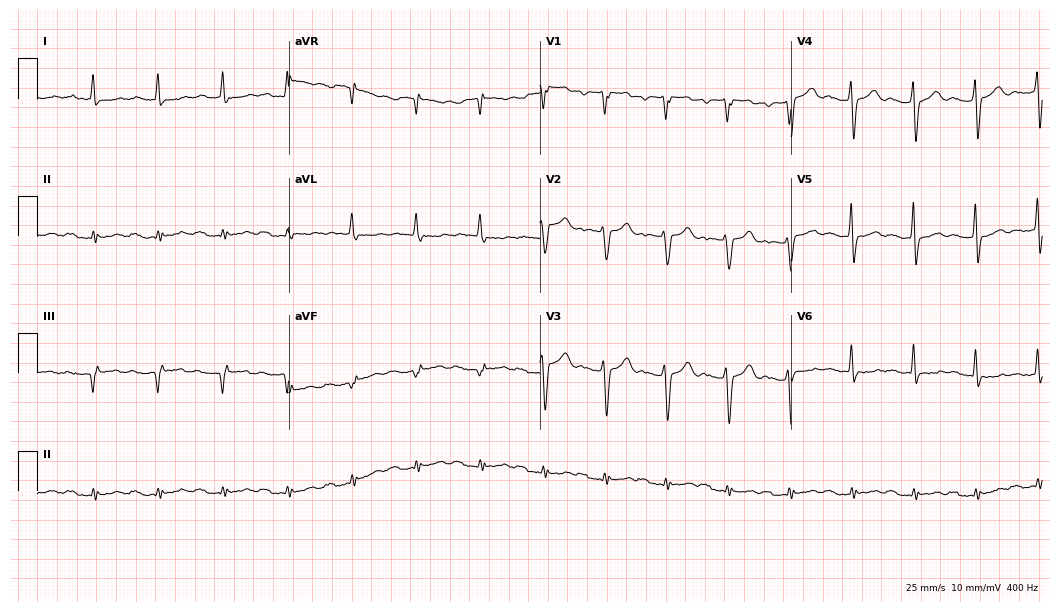
Standard 12-lead ECG recorded from a 72-year-old male. None of these six findings is recorded: first-degree AV block, right bundle branch block, left bundle branch block, sinus bradycardia, atrial fibrillation, sinus tachycardia.